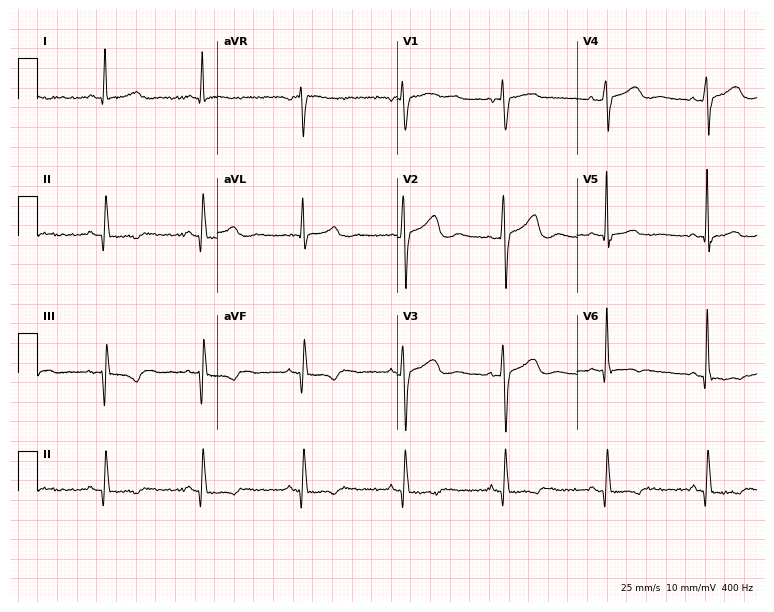
ECG (7.3-second recording at 400 Hz) — a woman, 68 years old. Screened for six findings — first-degree AV block, right bundle branch block (RBBB), left bundle branch block (LBBB), sinus bradycardia, atrial fibrillation (AF), sinus tachycardia — none is recorded. Only these six findings were labelled.